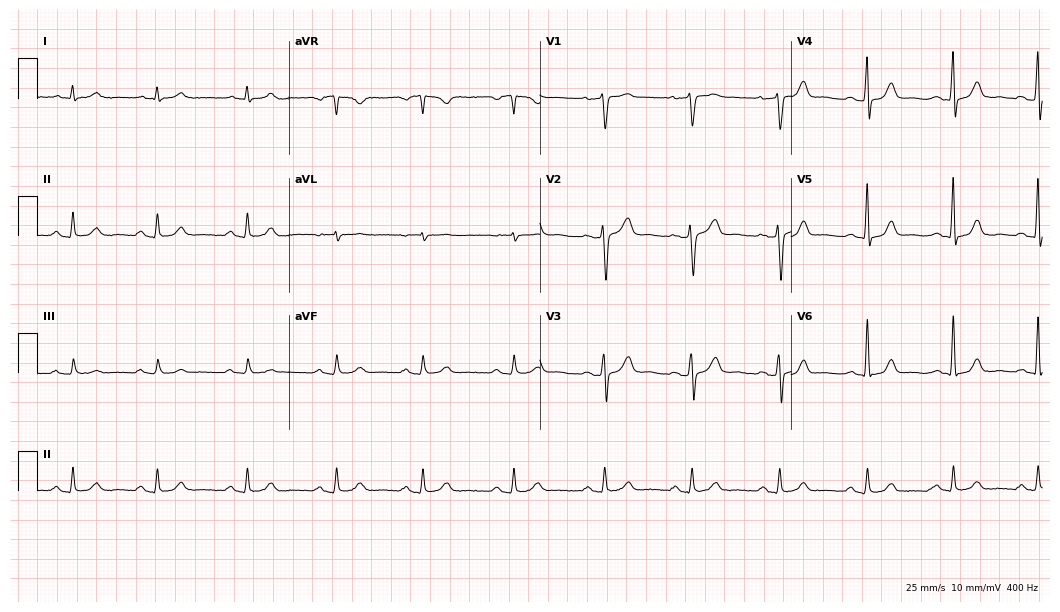
Electrocardiogram, a 54-year-old male patient. Overall reading on record: normal ECG.